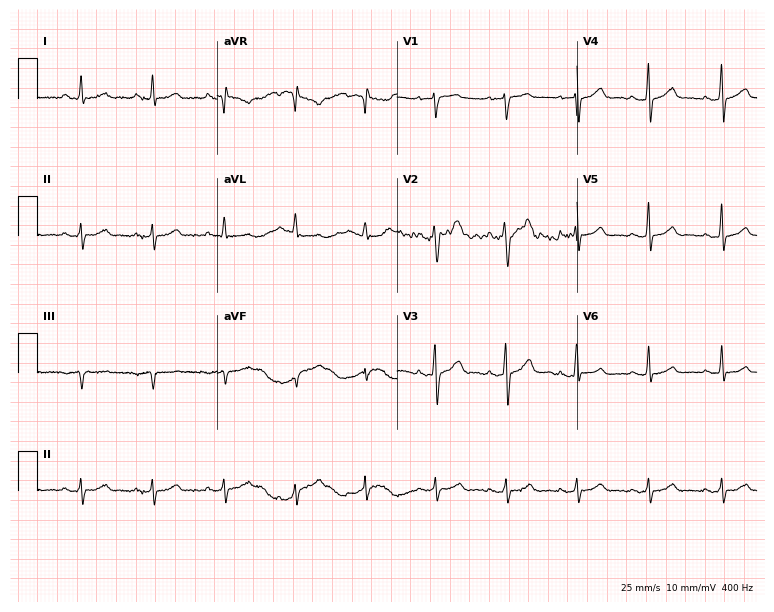
Standard 12-lead ECG recorded from a 61-year-old male. Read as a normal ECG.